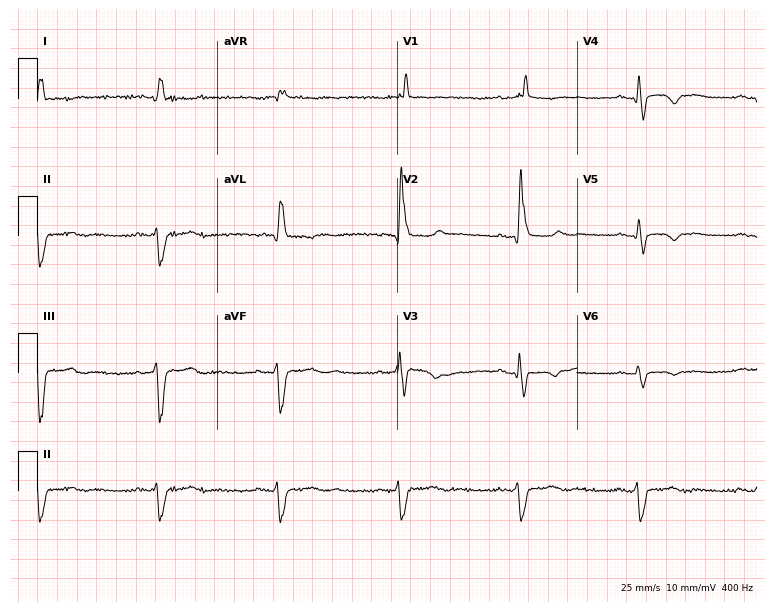
12-lead ECG from a male patient, 70 years old. Shows right bundle branch block, sinus bradycardia (a sinus rate of 50 beats per minute or less).